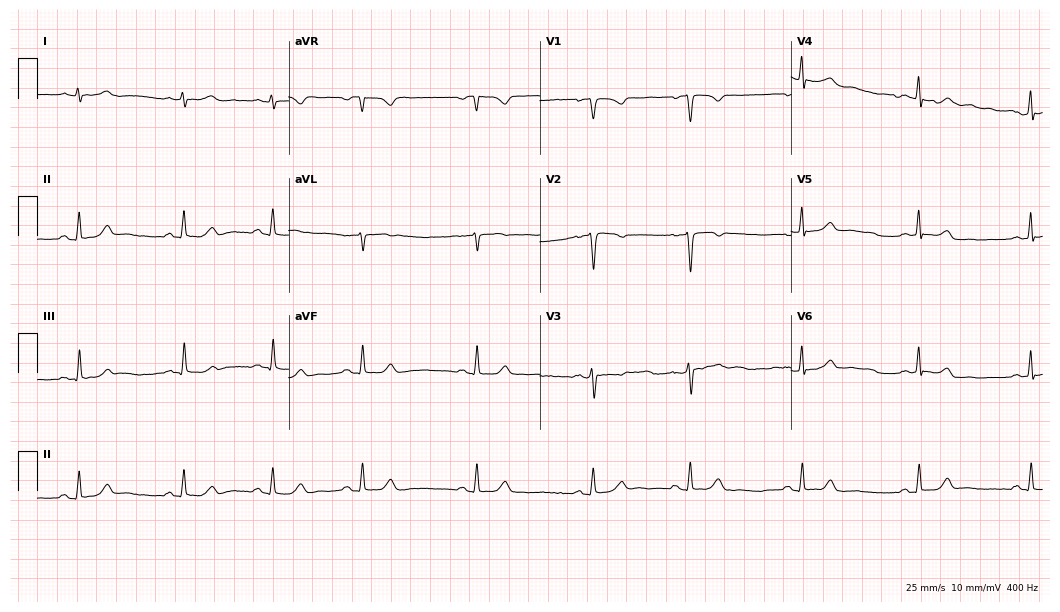
12-lead ECG from a 31-year-old woman (10.2-second recording at 400 Hz). No first-degree AV block, right bundle branch block, left bundle branch block, sinus bradycardia, atrial fibrillation or sinus tachycardia recorded for this tracing.